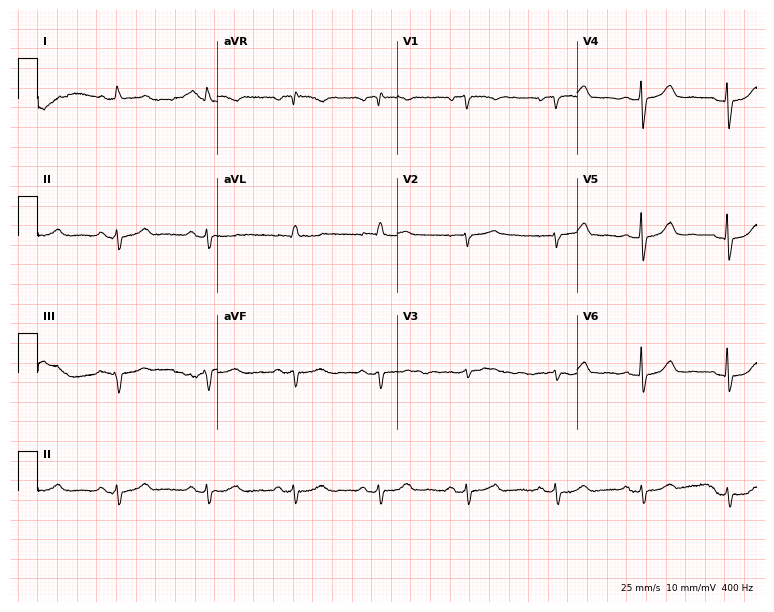
Resting 12-lead electrocardiogram. Patient: a woman, 79 years old. None of these six findings is recorded: first-degree AV block, right bundle branch block (RBBB), left bundle branch block (LBBB), sinus bradycardia, atrial fibrillation (AF), sinus tachycardia. Only these six findings were labelled.